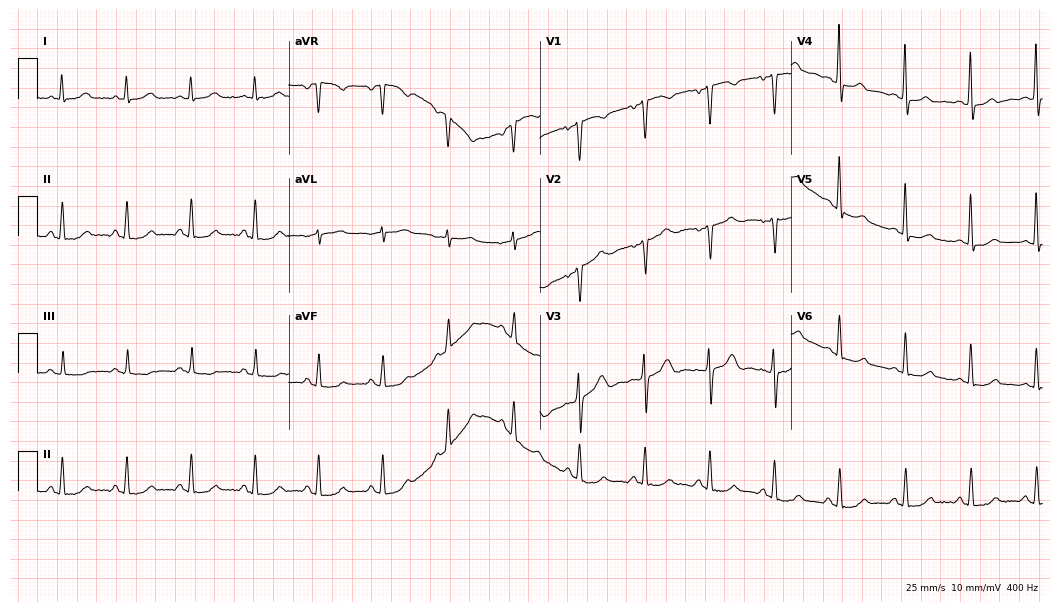
Electrocardiogram (10.2-second recording at 400 Hz), a female, 32 years old. Of the six screened findings (first-degree AV block, right bundle branch block (RBBB), left bundle branch block (LBBB), sinus bradycardia, atrial fibrillation (AF), sinus tachycardia), none is recorded. Only these six findings were labelled.